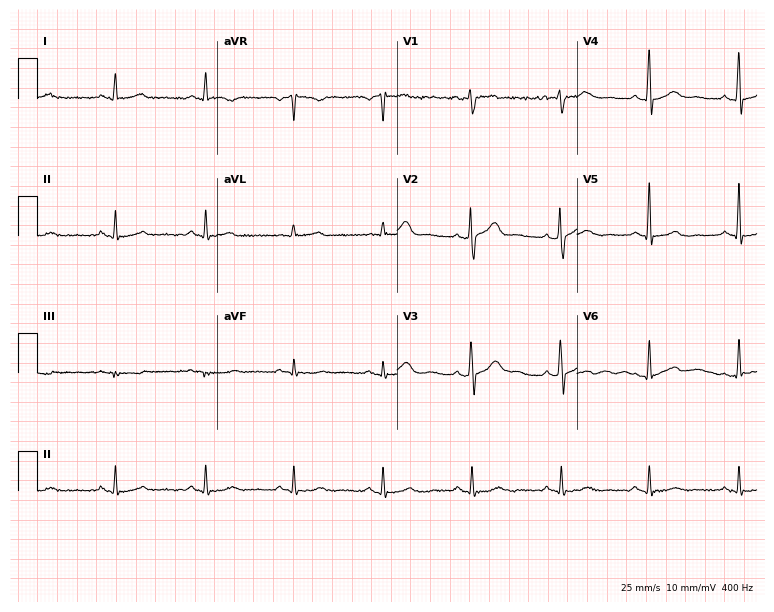
12-lead ECG (7.3-second recording at 400 Hz) from a man, 50 years old. Labelled as a normal ECG.